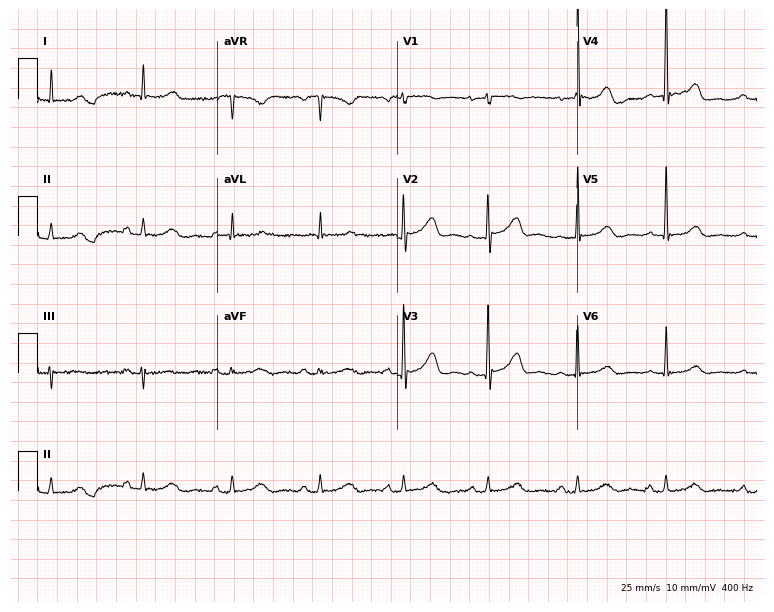
Resting 12-lead electrocardiogram (7.3-second recording at 400 Hz). Patient: a 73-year-old female. Read as a normal ECG.